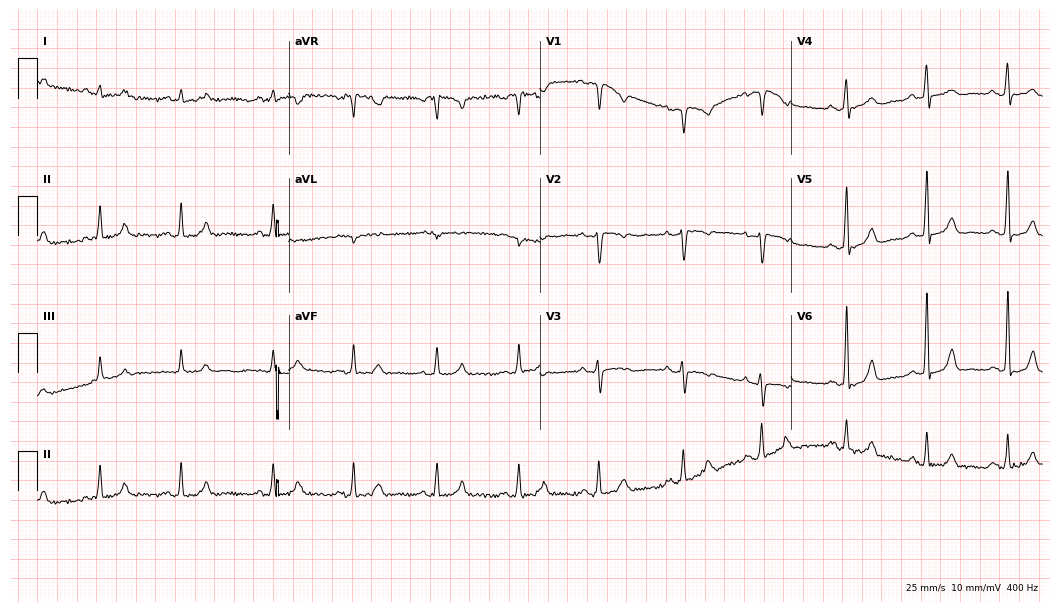
ECG — a female patient, 28 years old. Screened for six findings — first-degree AV block, right bundle branch block, left bundle branch block, sinus bradycardia, atrial fibrillation, sinus tachycardia — none is recorded.